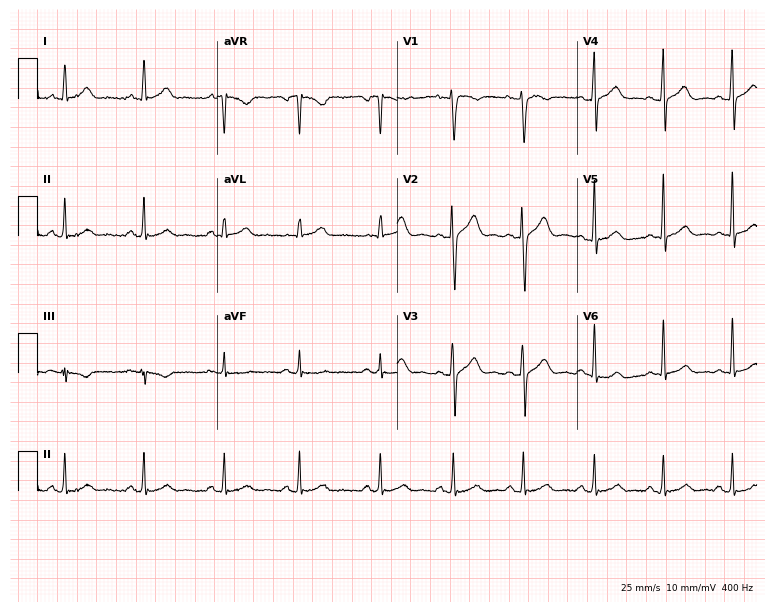
Electrocardiogram (7.3-second recording at 400 Hz), a male, 46 years old. Of the six screened findings (first-degree AV block, right bundle branch block, left bundle branch block, sinus bradycardia, atrial fibrillation, sinus tachycardia), none is recorded. Other findings, if any, are not listed.